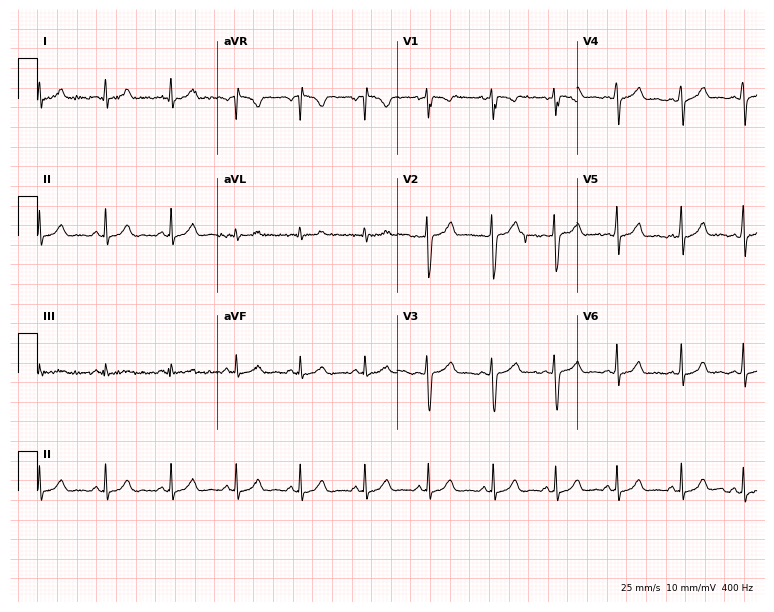
Standard 12-lead ECG recorded from a female patient, 24 years old (7.3-second recording at 400 Hz). None of these six findings is recorded: first-degree AV block, right bundle branch block (RBBB), left bundle branch block (LBBB), sinus bradycardia, atrial fibrillation (AF), sinus tachycardia. Only these six findings were labelled.